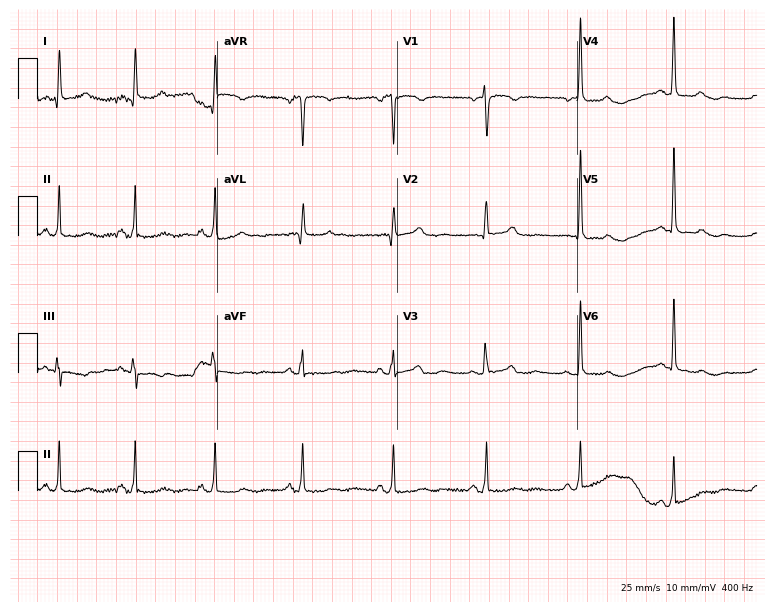
Standard 12-lead ECG recorded from a 66-year-old woman (7.3-second recording at 400 Hz). None of these six findings is recorded: first-degree AV block, right bundle branch block, left bundle branch block, sinus bradycardia, atrial fibrillation, sinus tachycardia.